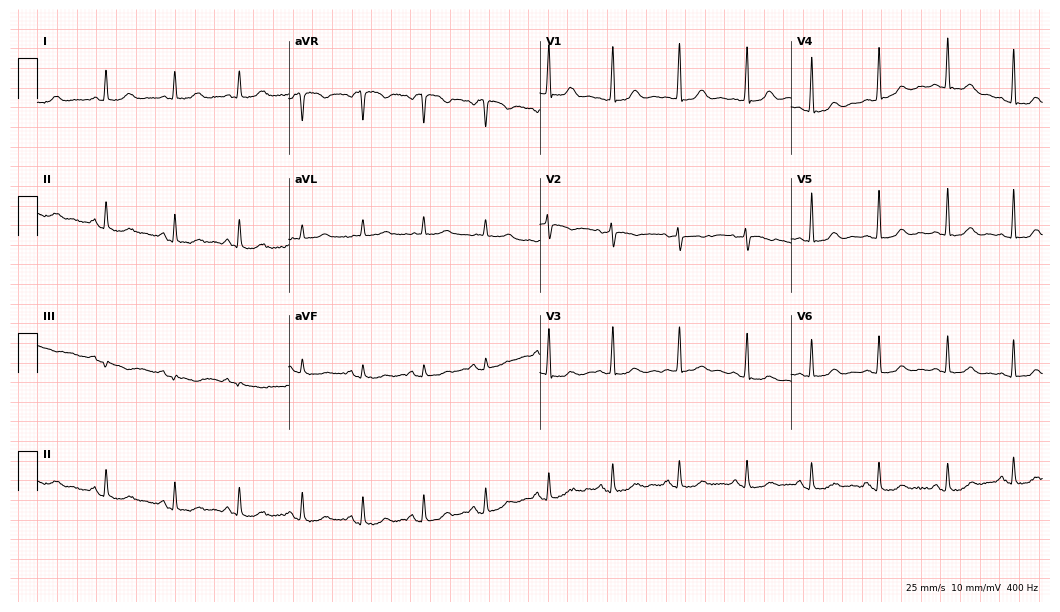
Resting 12-lead electrocardiogram. Patient: a woman, 47 years old. Read as a normal ECG.